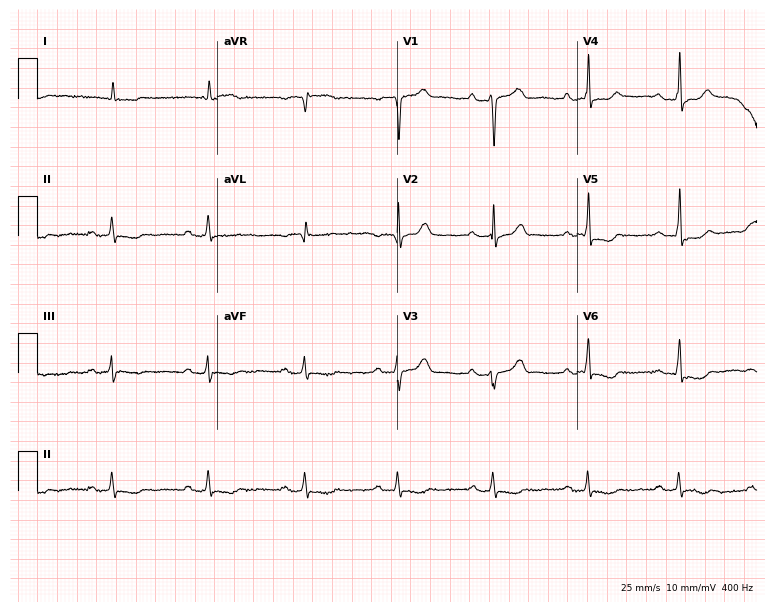
ECG (7.3-second recording at 400 Hz) — a male patient, 72 years old. Screened for six findings — first-degree AV block, right bundle branch block, left bundle branch block, sinus bradycardia, atrial fibrillation, sinus tachycardia — none is recorded. Other findings, if any, are not listed.